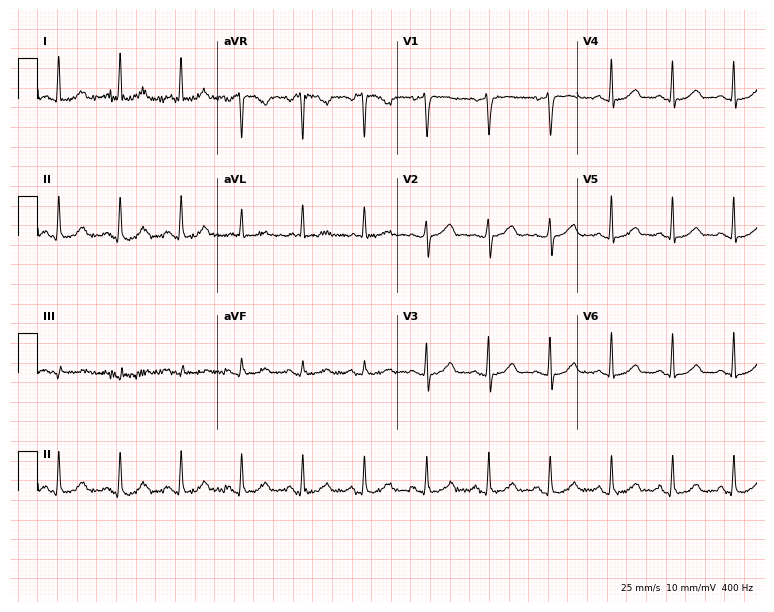
ECG — a 58-year-old woman. Screened for six findings — first-degree AV block, right bundle branch block, left bundle branch block, sinus bradycardia, atrial fibrillation, sinus tachycardia — none is recorded. Findings outside these six are not listed.